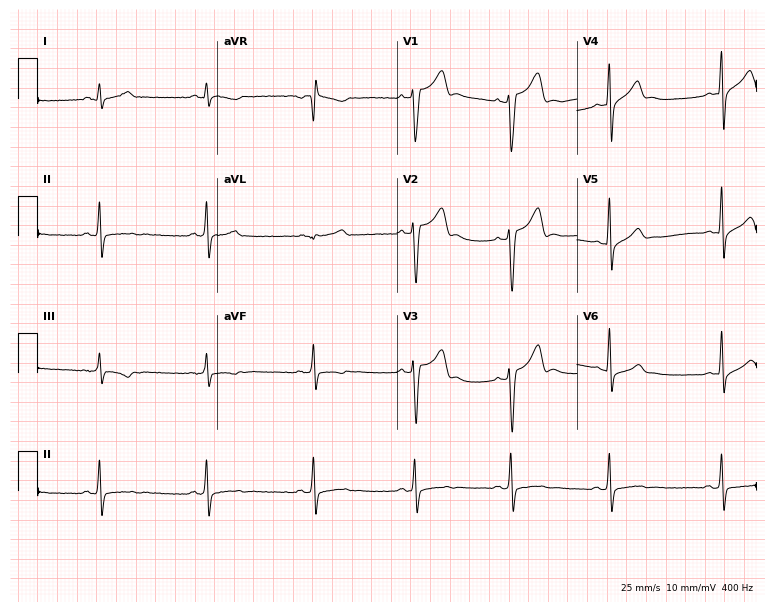
12-lead ECG from a 26-year-old man. Screened for six findings — first-degree AV block, right bundle branch block (RBBB), left bundle branch block (LBBB), sinus bradycardia, atrial fibrillation (AF), sinus tachycardia — none is recorded.